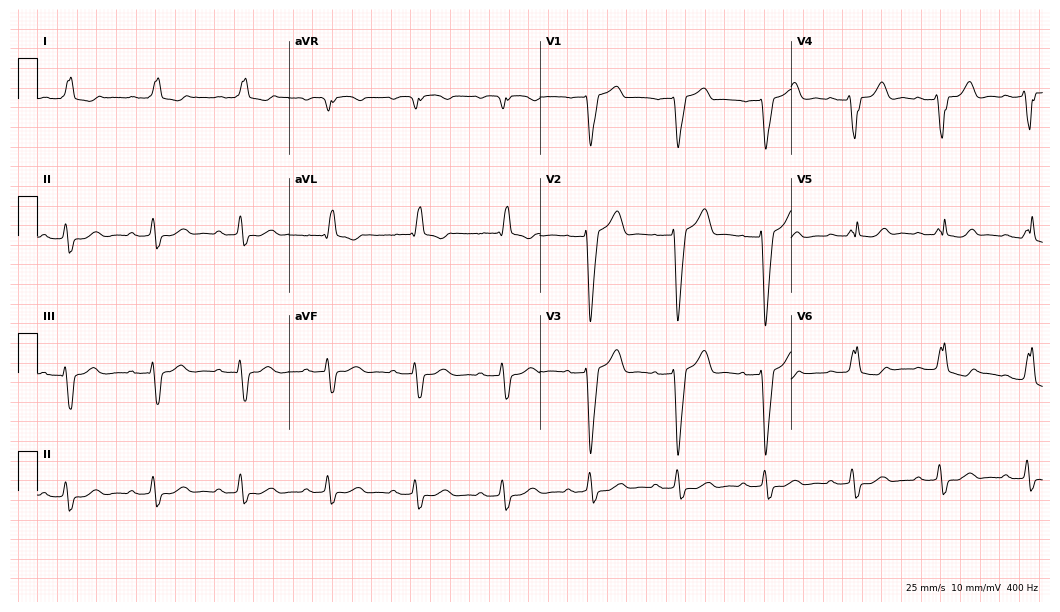
Standard 12-lead ECG recorded from a female patient, 81 years old (10.2-second recording at 400 Hz). The tracing shows first-degree AV block, left bundle branch block.